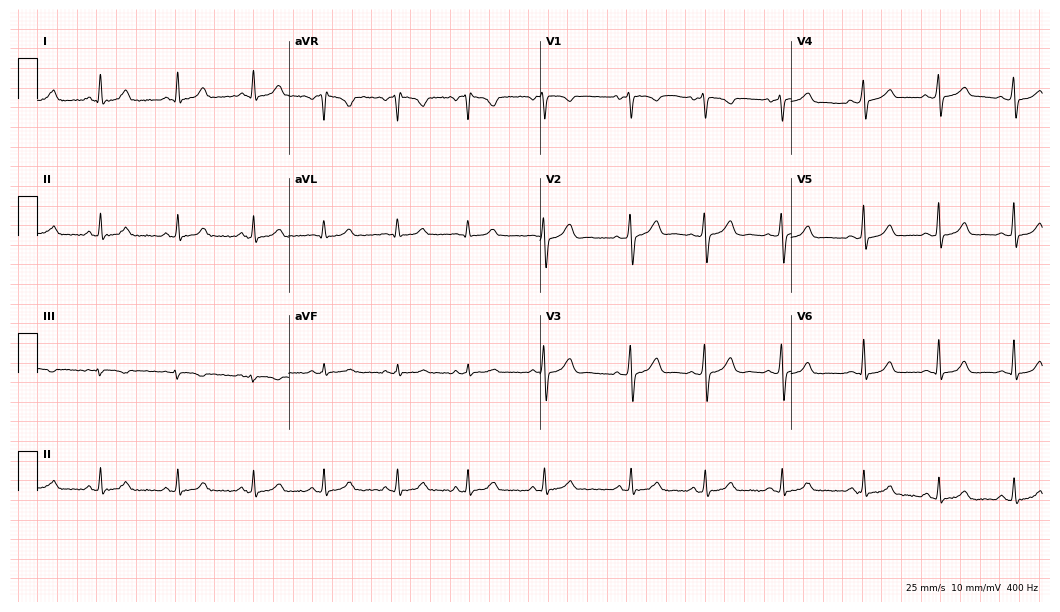
12-lead ECG from a female patient, 36 years old. Recorded interpretation: within normal limits.